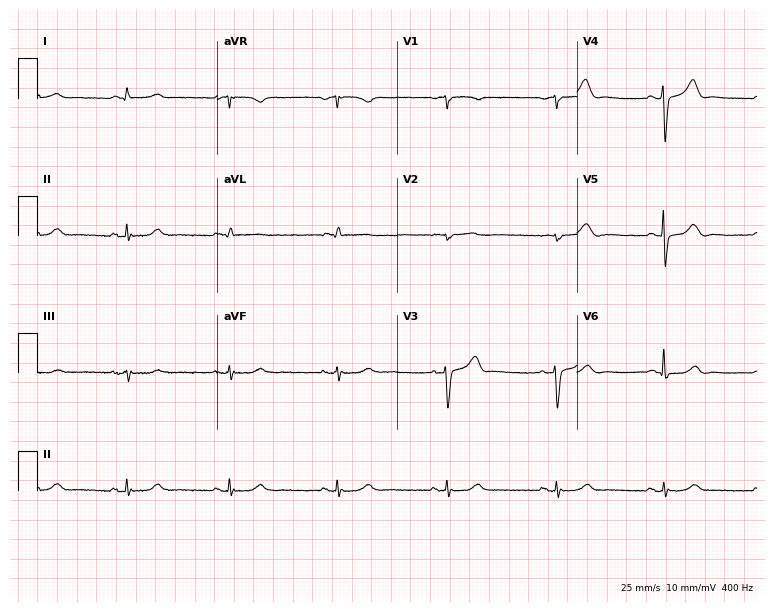
Electrocardiogram, a male patient, 75 years old. Of the six screened findings (first-degree AV block, right bundle branch block, left bundle branch block, sinus bradycardia, atrial fibrillation, sinus tachycardia), none is recorded. Findings outside these six are not listed.